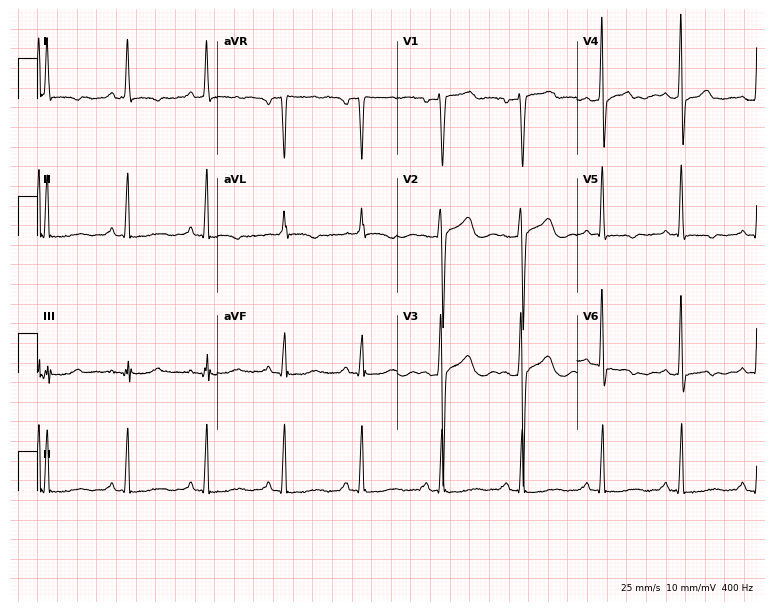
ECG (7.3-second recording at 400 Hz) — a female patient, 49 years old. Screened for six findings — first-degree AV block, right bundle branch block (RBBB), left bundle branch block (LBBB), sinus bradycardia, atrial fibrillation (AF), sinus tachycardia — none is recorded. Findings outside these six are not listed.